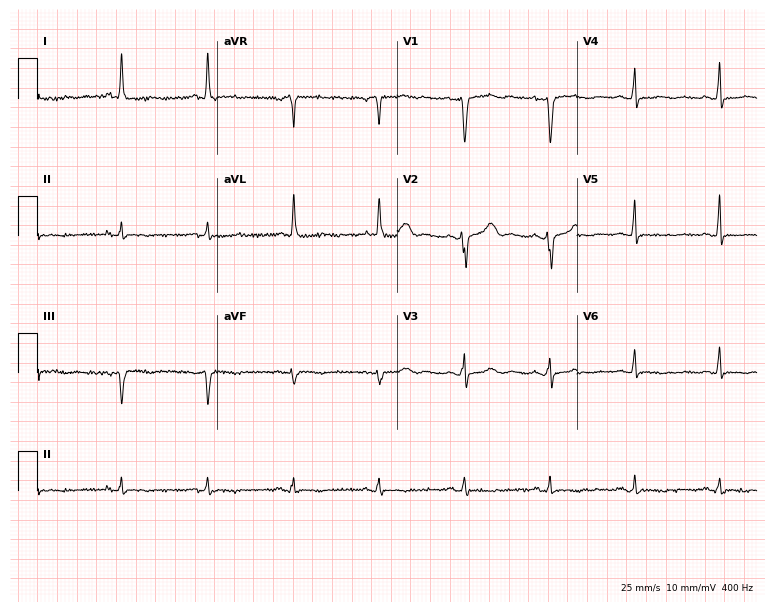
12-lead ECG (7.3-second recording at 400 Hz) from a 52-year-old female. Screened for six findings — first-degree AV block, right bundle branch block, left bundle branch block, sinus bradycardia, atrial fibrillation, sinus tachycardia — none is recorded.